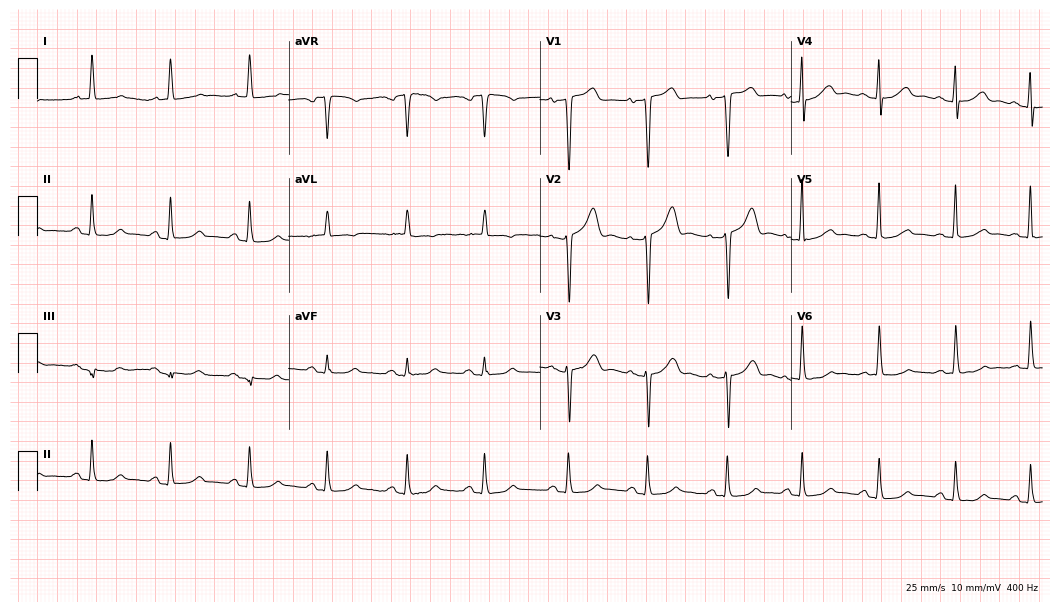
Resting 12-lead electrocardiogram. Patient: a 55-year-old female. None of these six findings is recorded: first-degree AV block, right bundle branch block, left bundle branch block, sinus bradycardia, atrial fibrillation, sinus tachycardia.